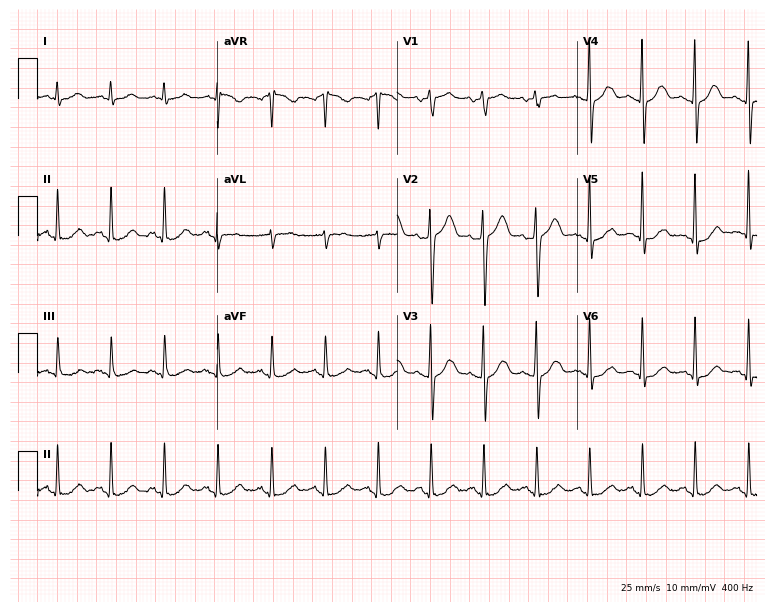
12-lead ECG (7.3-second recording at 400 Hz) from a man, 57 years old. Findings include sinus tachycardia (a sinus rate of 100 beats per minute or more).